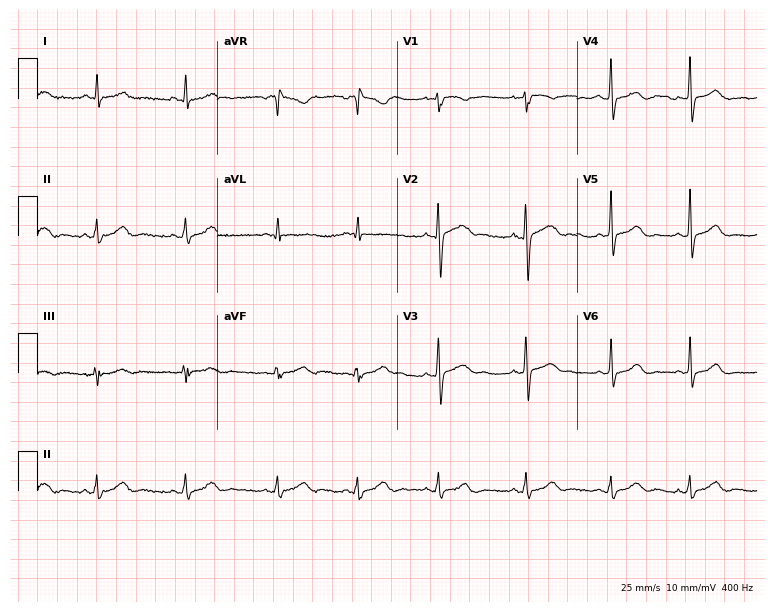
Electrocardiogram, a 19-year-old female patient. Of the six screened findings (first-degree AV block, right bundle branch block, left bundle branch block, sinus bradycardia, atrial fibrillation, sinus tachycardia), none is recorded.